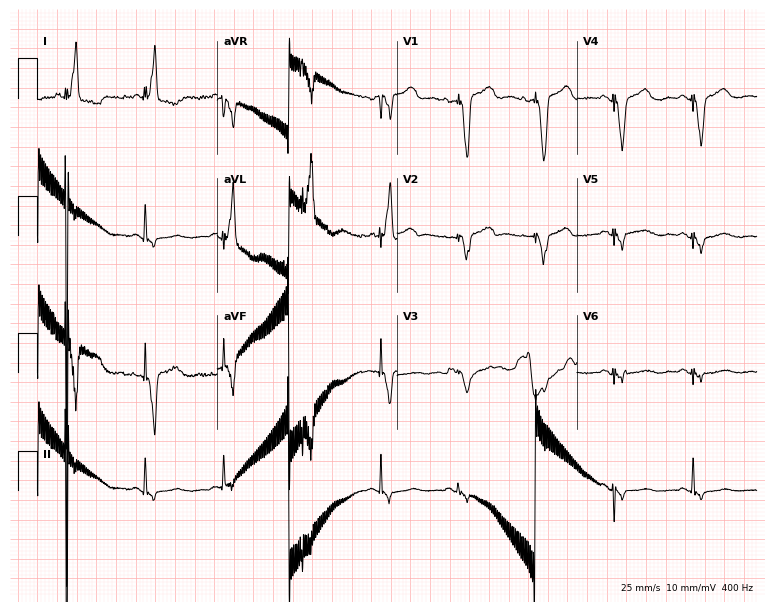
ECG — a male, 83 years old. Screened for six findings — first-degree AV block, right bundle branch block, left bundle branch block, sinus bradycardia, atrial fibrillation, sinus tachycardia — none is recorded.